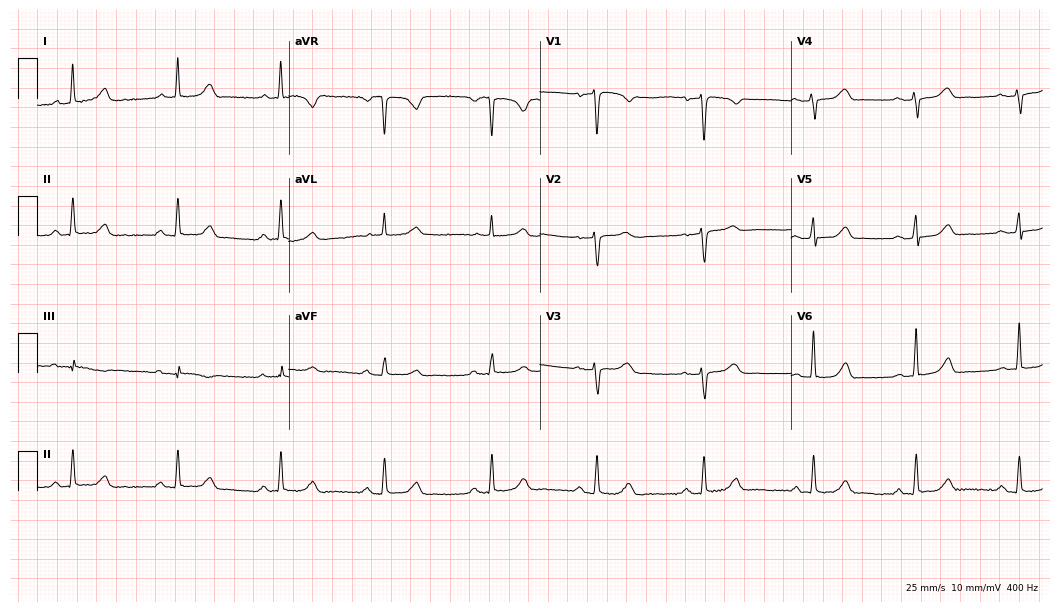
Resting 12-lead electrocardiogram. Patient: a 53-year-old woman. None of these six findings is recorded: first-degree AV block, right bundle branch block (RBBB), left bundle branch block (LBBB), sinus bradycardia, atrial fibrillation (AF), sinus tachycardia.